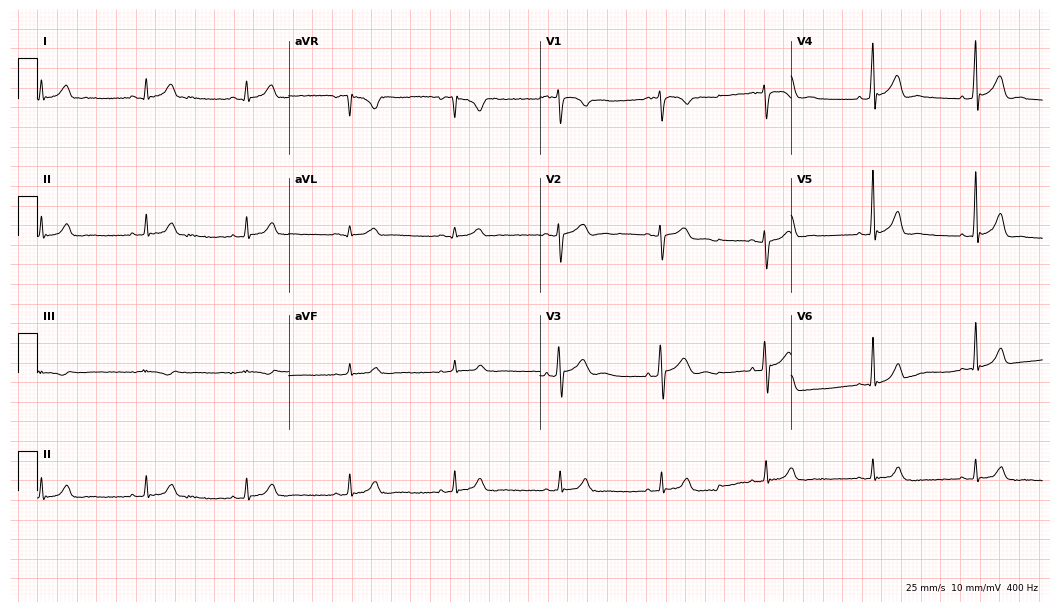
Electrocardiogram, a female, 23 years old. Overall reading on record: normal ECG.